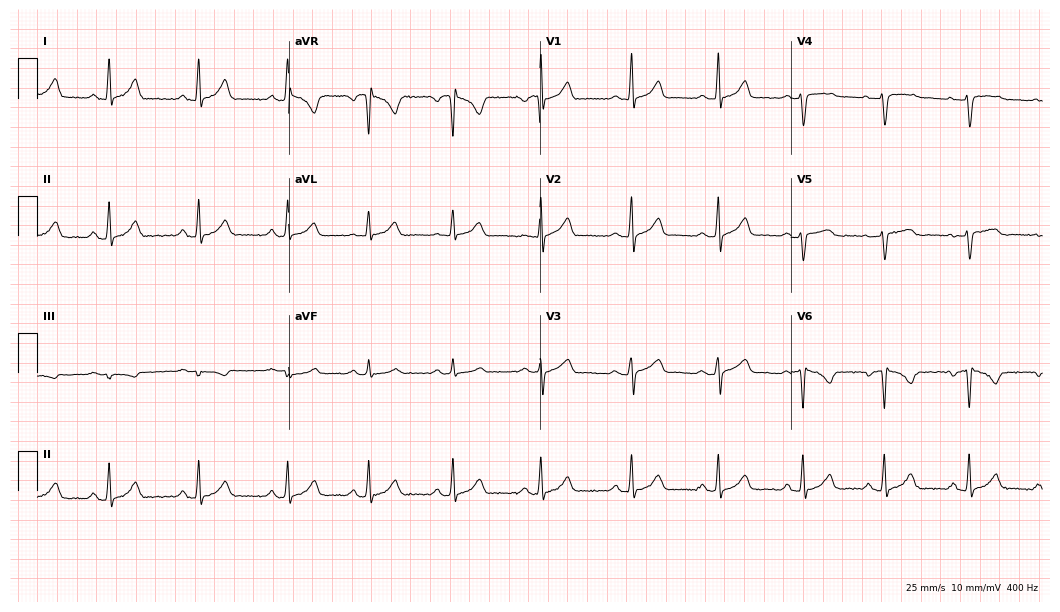
ECG (10.2-second recording at 400 Hz) — a female, 35 years old. Screened for six findings — first-degree AV block, right bundle branch block, left bundle branch block, sinus bradycardia, atrial fibrillation, sinus tachycardia — none is recorded. Other findings, if any, are not listed.